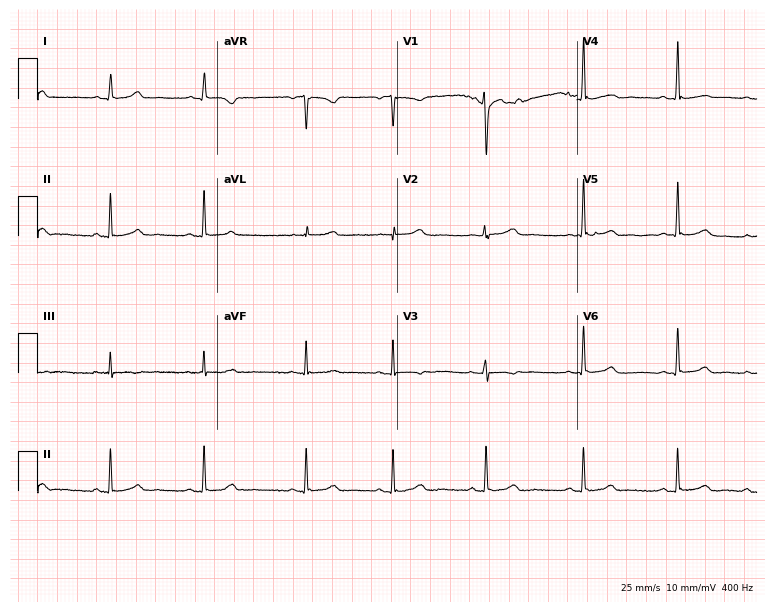
Standard 12-lead ECG recorded from a female patient, 21 years old. Read as a normal ECG.